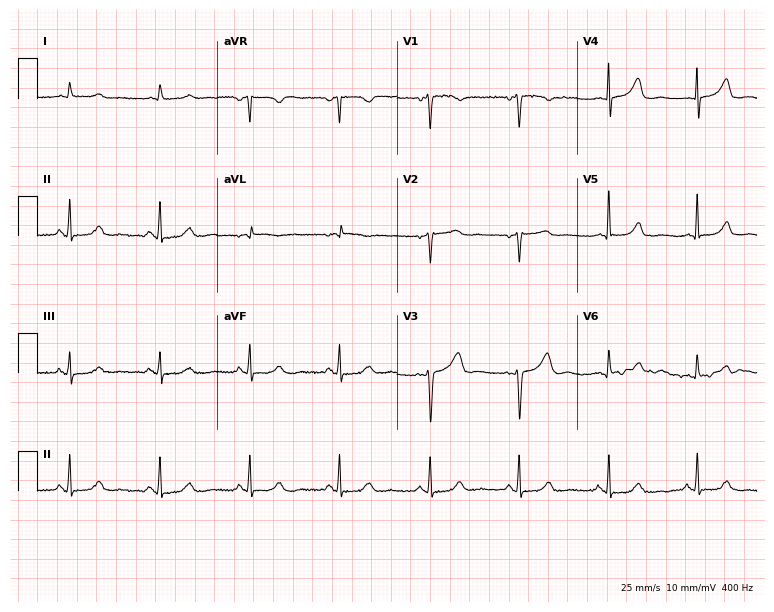
Standard 12-lead ECG recorded from a 67-year-old female (7.3-second recording at 400 Hz). Read as a normal ECG.